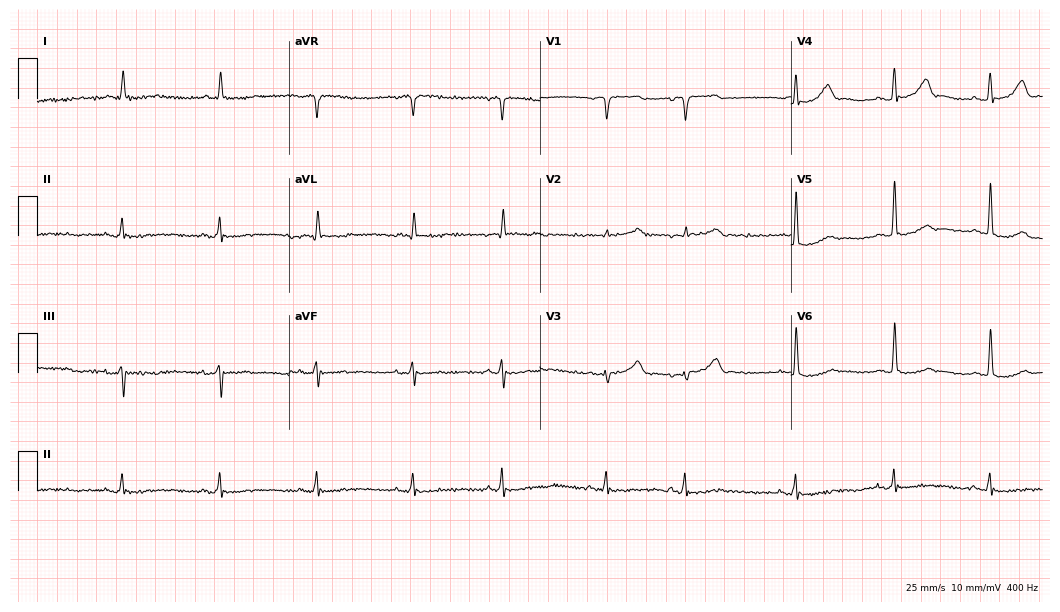
Standard 12-lead ECG recorded from a male patient, 80 years old. None of these six findings is recorded: first-degree AV block, right bundle branch block, left bundle branch block, sinus bradycardia, atrial fibrillation, sinus tachycardia.